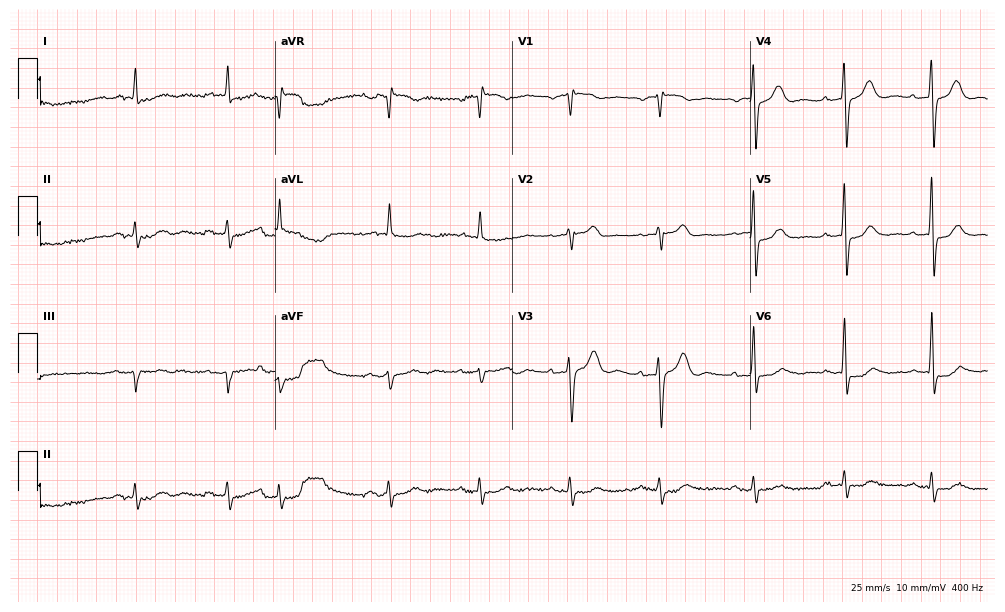
12-lead ECG from an 83-year-old male (9.7-second recording at 400 Hz). No first-degree AV block, right bundle branch block (RBBB), left bundle branch block (LBBB), sinus bradycardia, atrial fibrillation (AF) or sinus tachycardia recorded for this tracing. Findings outside these six are not listed.